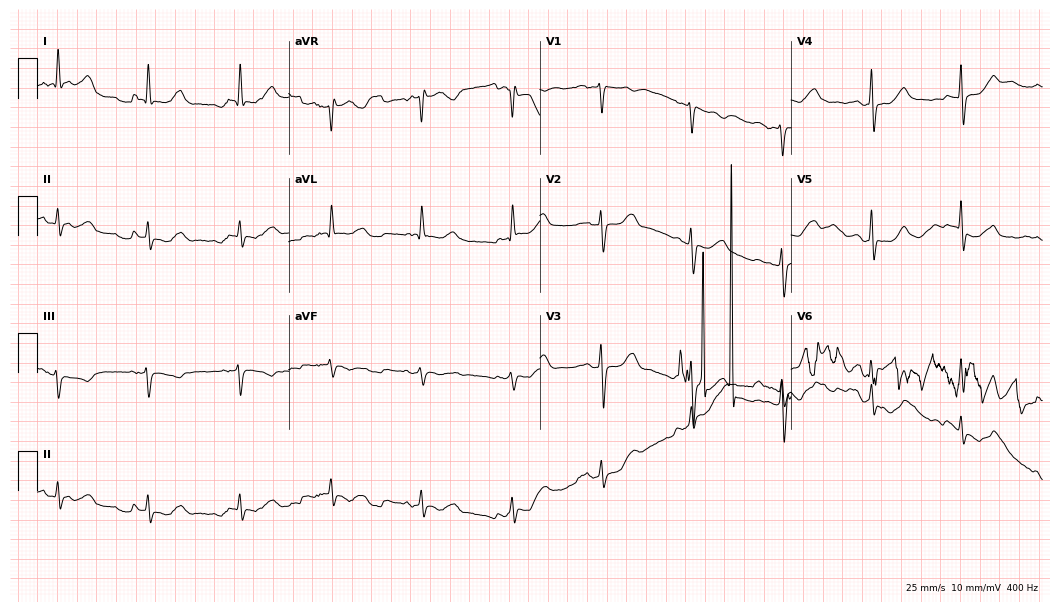
Electrocardiogram, a female patient, 67 years old. Of the six screened findings (first-degree AV block, right bundle branch block, left bundle branch block, sinus bradycardia, atrial fibrillation, sinus tachycardia), none is recorded. Only these six findings were labelled.